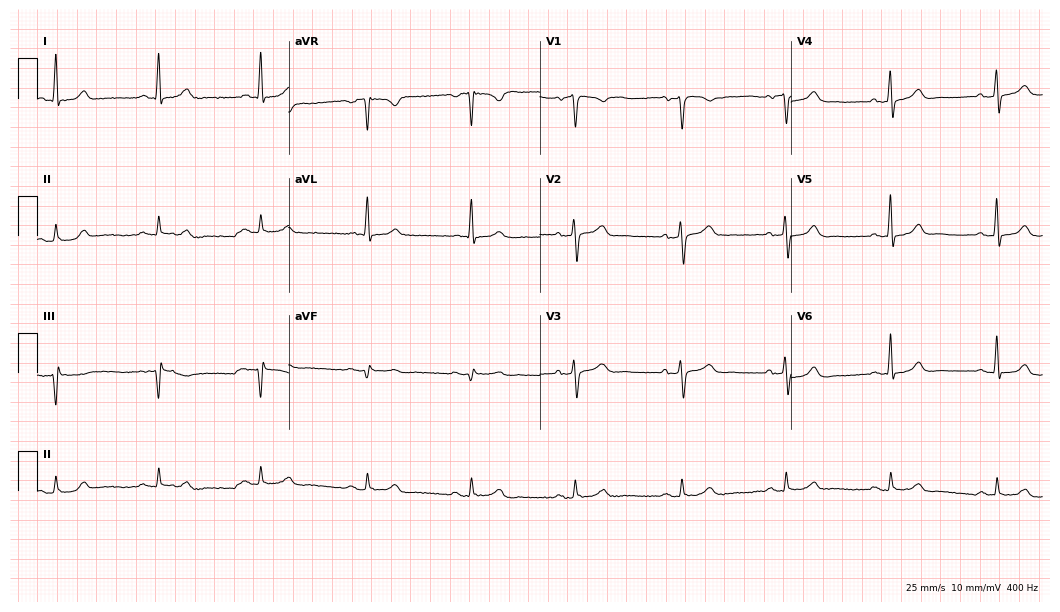
12-lead ECG (10.2-second recording at 400 Hz) from a female patient, 79 years old. Screened for six findings — first-degree AV block, right bundle branch block, left bundle branch block, sinus bradycardia, atrial fibrillation, sinus tachycardia — none is recorded.